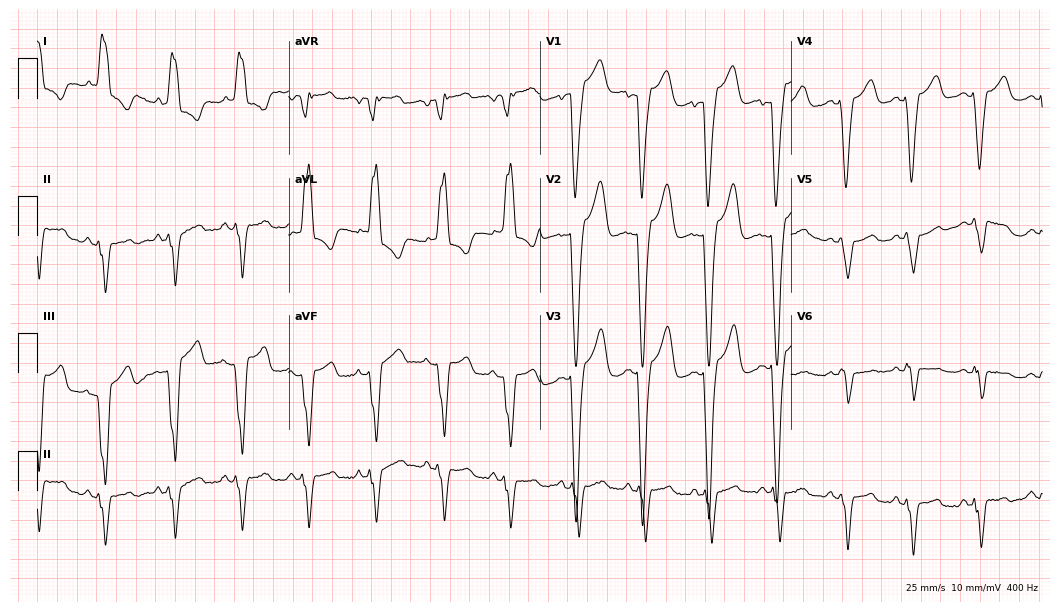
12-lead ECG from a 75-year-old woman. Findings include left bundle branch block.